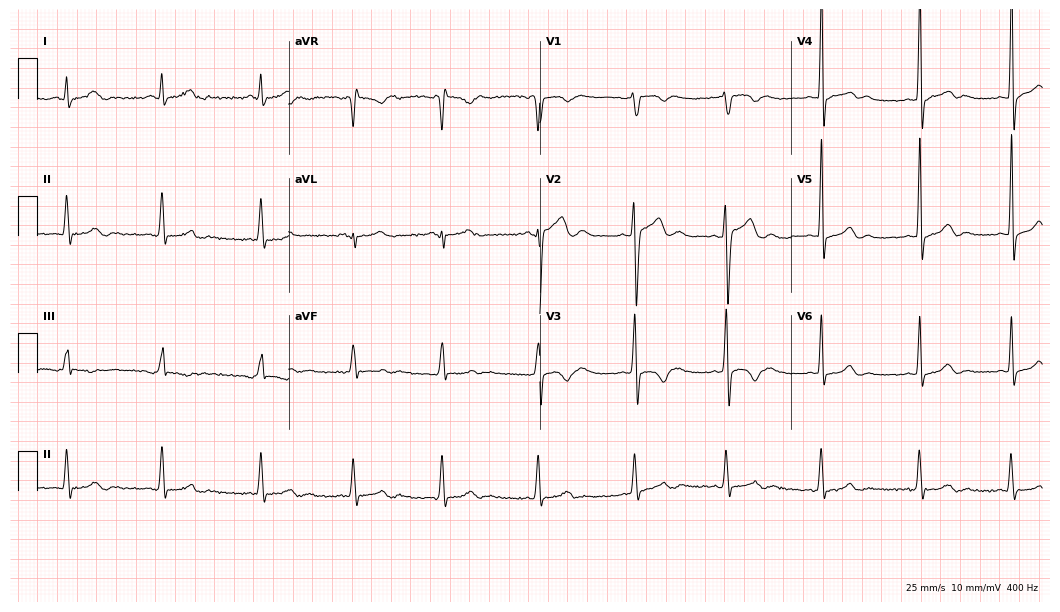
Electrocardiogram (10.2-second recording at 400 Hz), a male patient, 24 years old. Overall reading on record: normal ECG.